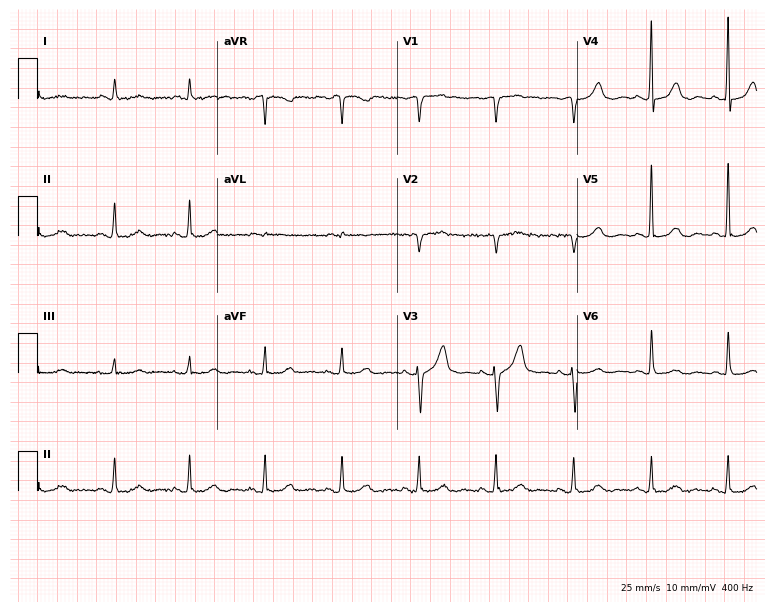
12-lead ECG from a 62-year-old male patient (7.3-second recording at 400 Hz). No first-degree AV block, right bundle branch block, left bundle branch block, sinus bradycardia, atrial fibrillation or sinus tachycardia recorded for this tracing. Only these six findings were labelled.